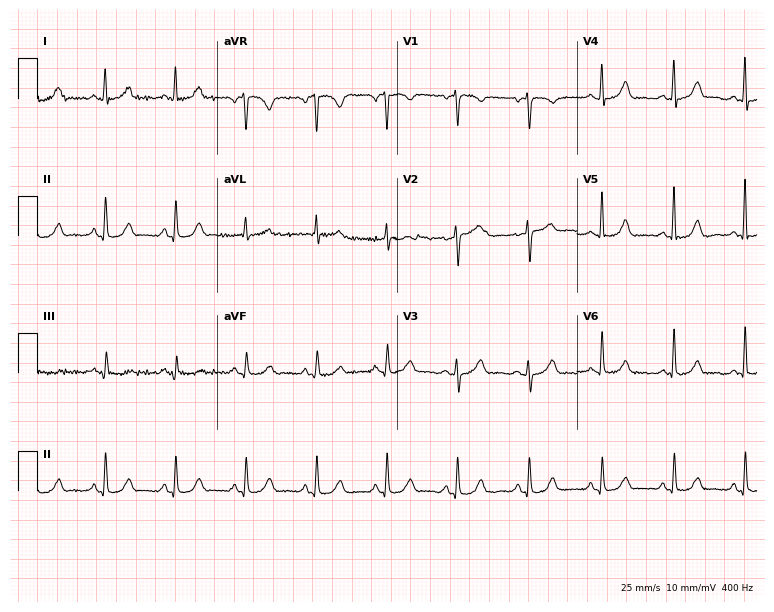
Resting 12-lead electrocardiogram (7.3-second recording at 400 Hz). Patient: a 58-year-old female. Read as a normal ECG.